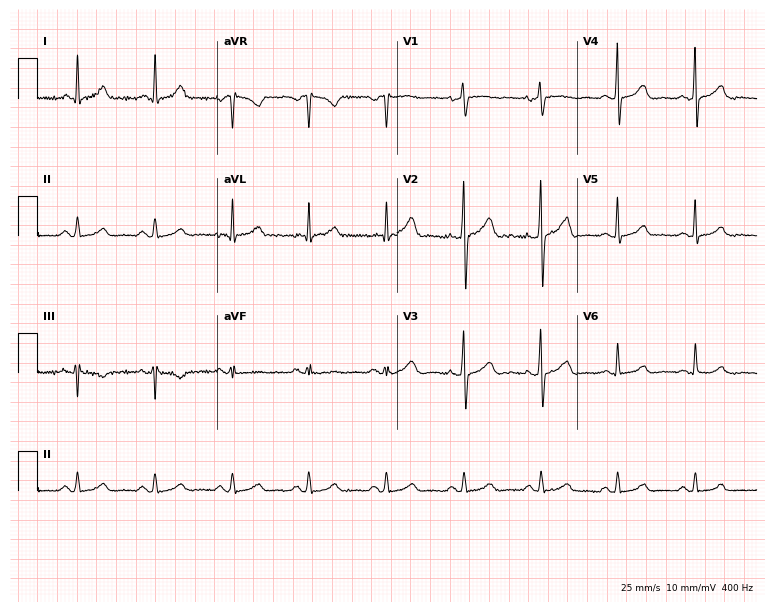
12-lead ECG from a 67-year-old female patient. Screened for six findings — first-degree AV block, right bundle branch block, left bundle branch block, sinus bradycardia, atrial fibrillation, sinus tachycardia — none is recorded.